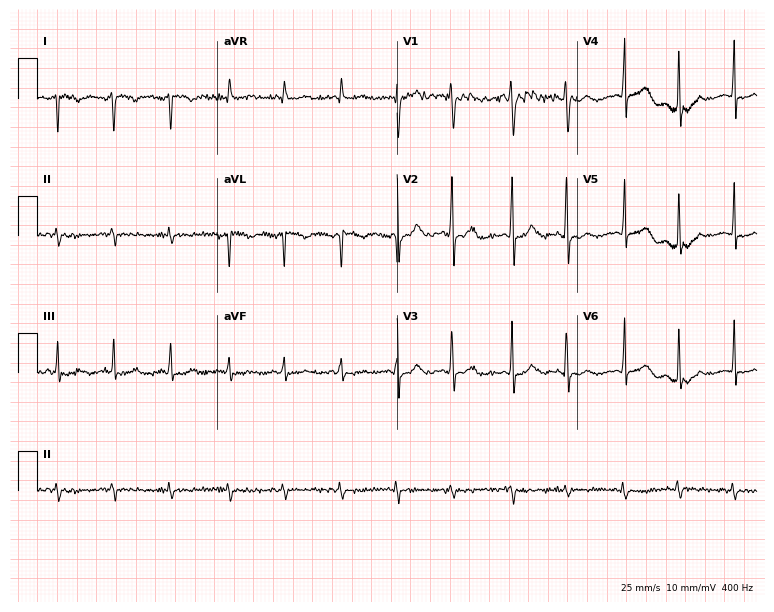
ECG (7.3-second recording at 400 Hz) — a female patient, 28 years old. Screened for six findings — first-degree AV block, right bundle branch block (RBBB), left bundle branch block (LBBB), sinus bradycardia, atrial fibrillation (AF), sinus tachycardia — none is recorded. Findings outside these six are not listed.